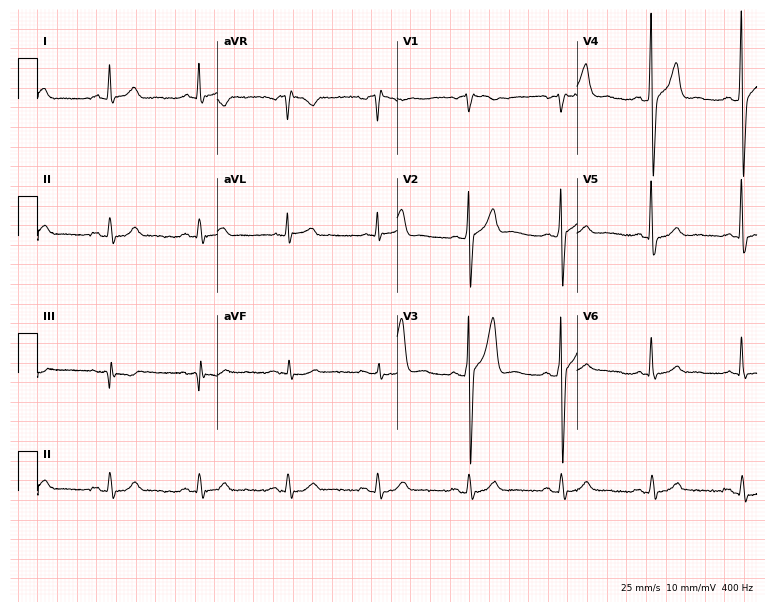
Resting 12-lead electrocardiogram. Patient: a 58-year-old man. Read as a normal ECG.